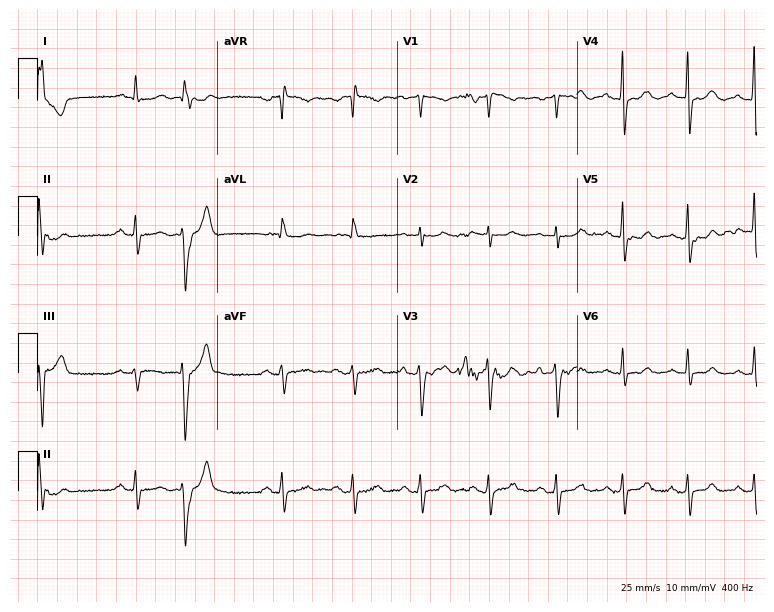
Resting 12-lead electrocardiogram (7.3-second recording at 400 Hz). Patient: a 71-year-old man. None of these six findings is recorded: first-degree AV block, right bundle branch block, left bundle branch block, sinus bradycardia, atrial fibrillation, sinus tachycardia.